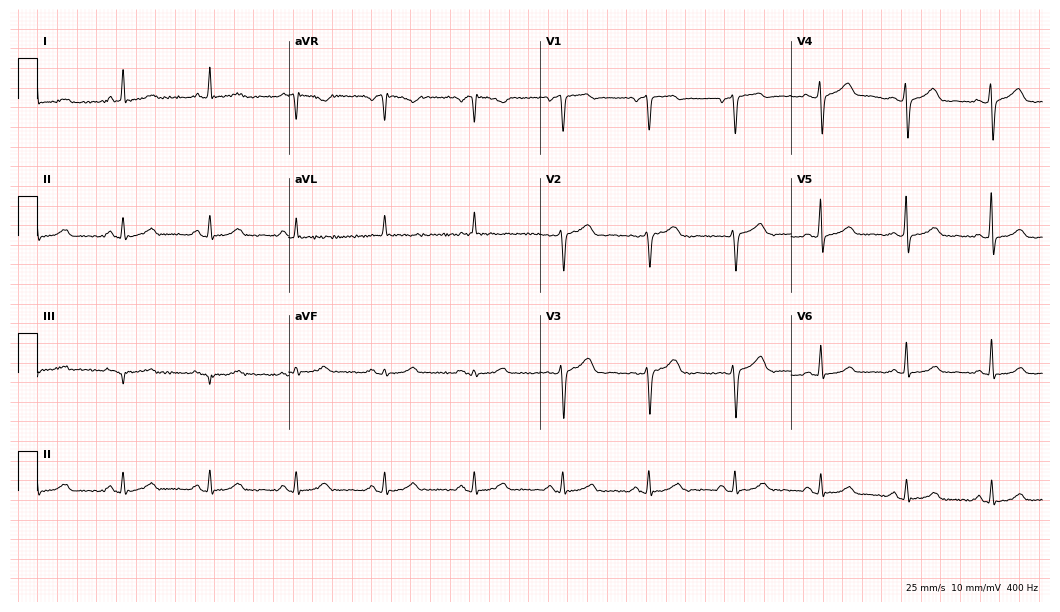
Electrocardiogram (10.2-second recording at 400 Hz), a female, 59 years old. Overall reading on record: normal ECG.